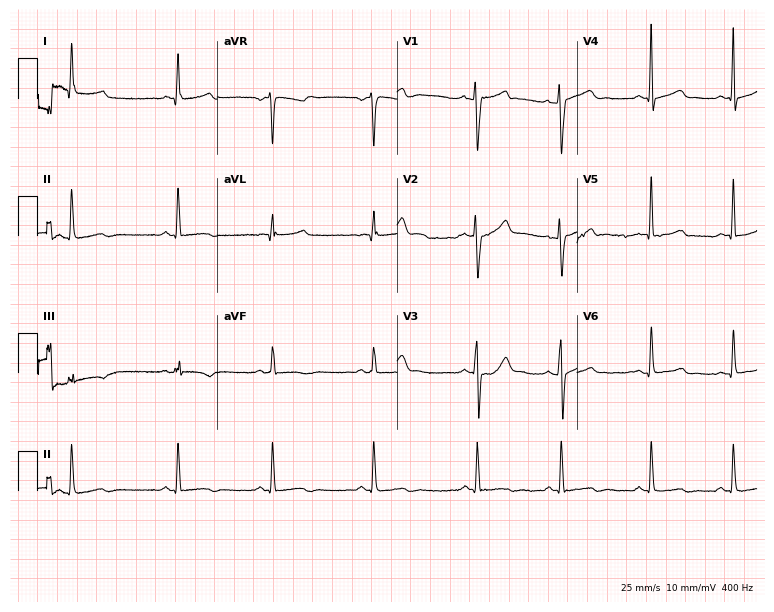
Resting 12-lead electrocardiogram (7.3-second recording at 400 Hz). Patient: a 25-year-old female. None of these six findings is recorded: first-degree AV block, right bundle branch block, left bundle branch block, sinus bradycardia, atrial fibrillation, sinus tachycardia. Findings outside these six are not listed.